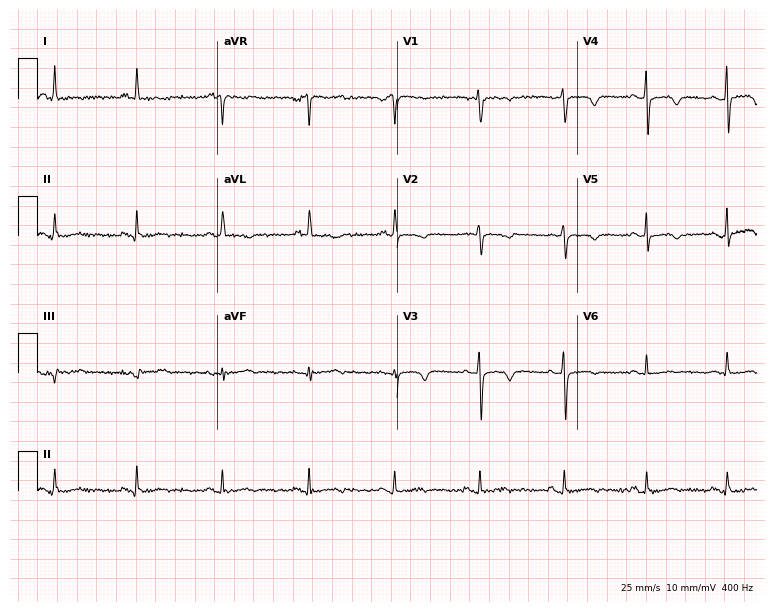
12-lead ECG from a 45-year-old female. Screened for six findings — first-degree AV block, right bundle branch block, left bundle branch block, sinus bradycardia, atrial fibrillation, sinus tachycardia — none is recorded. Other findings, if any, are not listed.